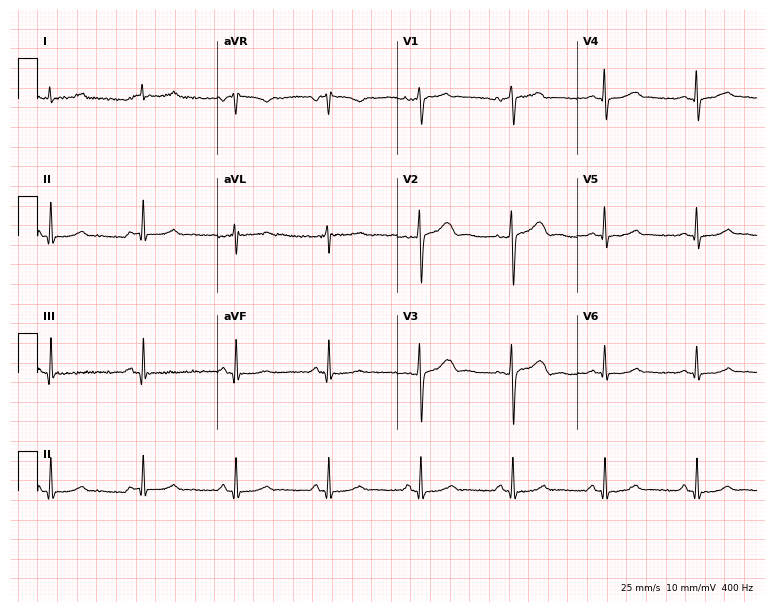
Standard 12-lead ECG recorded from a 54-year-old female patient (7.3-second recording at 400 Hz). None of these six findings is recorded: first-degree AV block, right bundle branch block, left bundle branch block, sinus bradycardia, atrial fibrillation, sinus tachycardia.